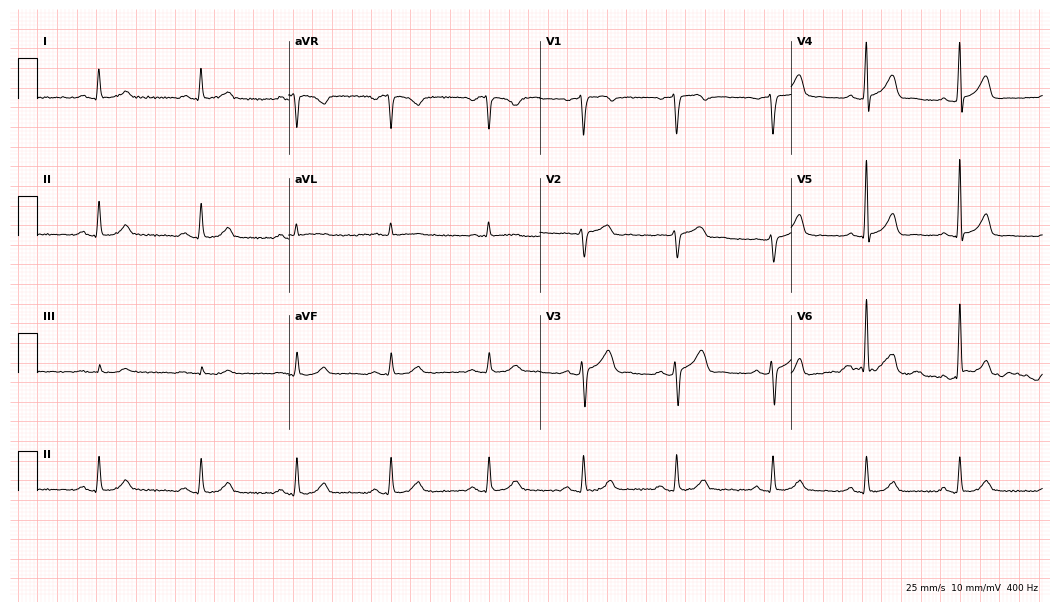
Electrocardiogram (10.2-second recording at 400 Hz), a 56-year-old man. Overall reading on record: normal ECG.